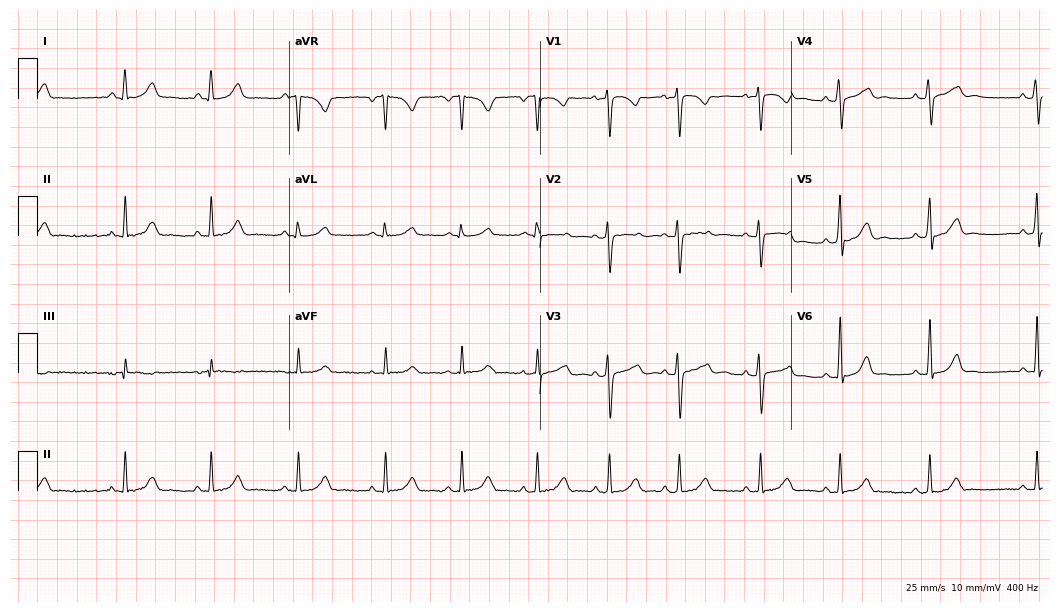
12-lead ECG (10.2-second recording at 400 Hz) from a woman, 20 years old. Labelled as a normal ECG.